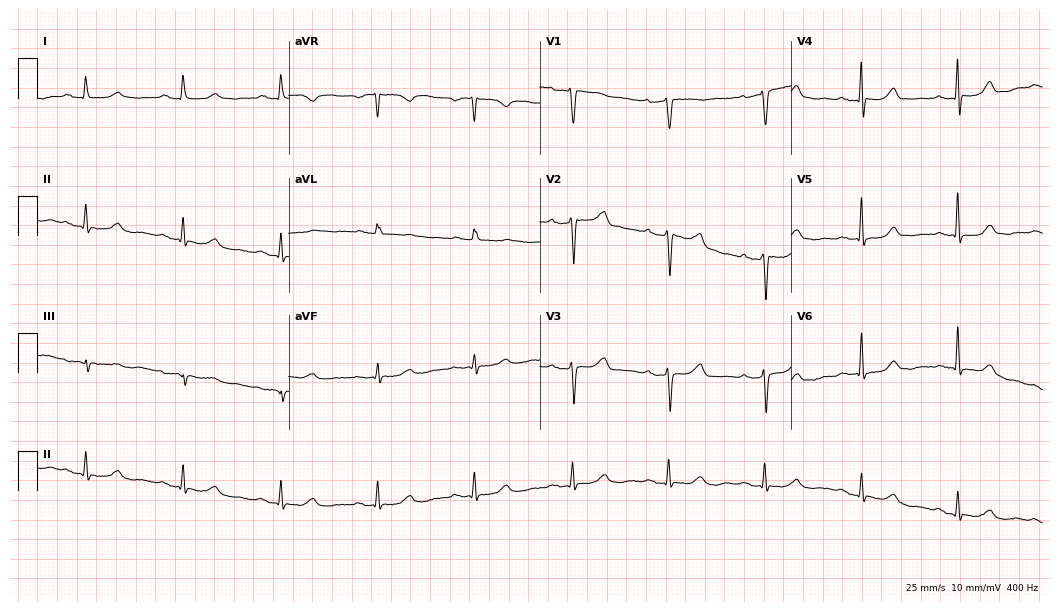
Electrocardiogram, a woman, 66 years old. Overall reading on record: normal ECG.